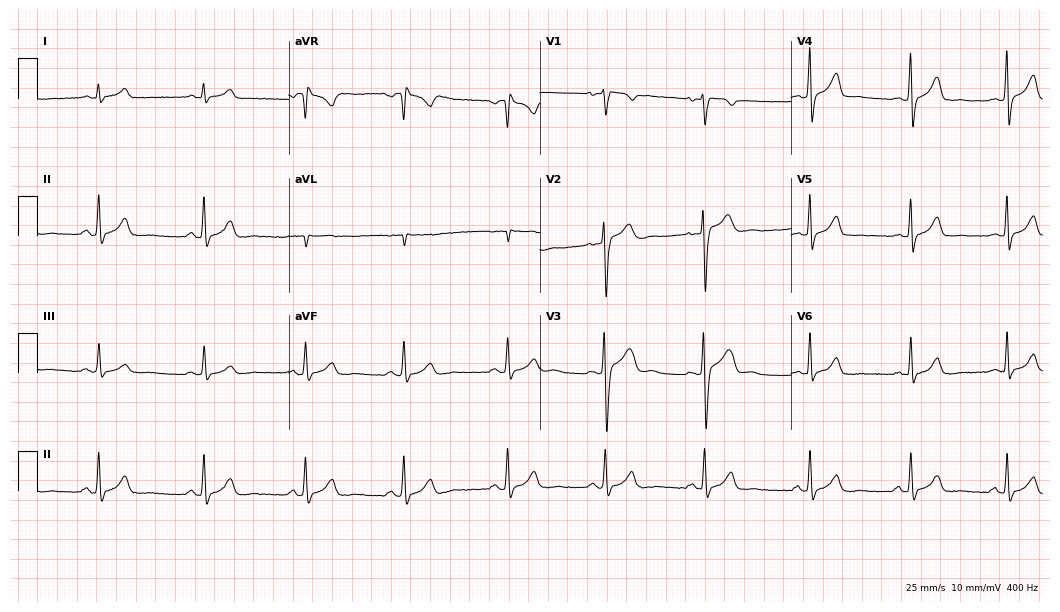
Electrocardiogram (10.2-second recording at 400 Hz), a 33-year-old woman. Of the six screened findings (first-degree AV block, right bundle branch block, left bundle branch block, sinus bradycardia, atrial fibrillation, sinus tachycardia), none is recorded.